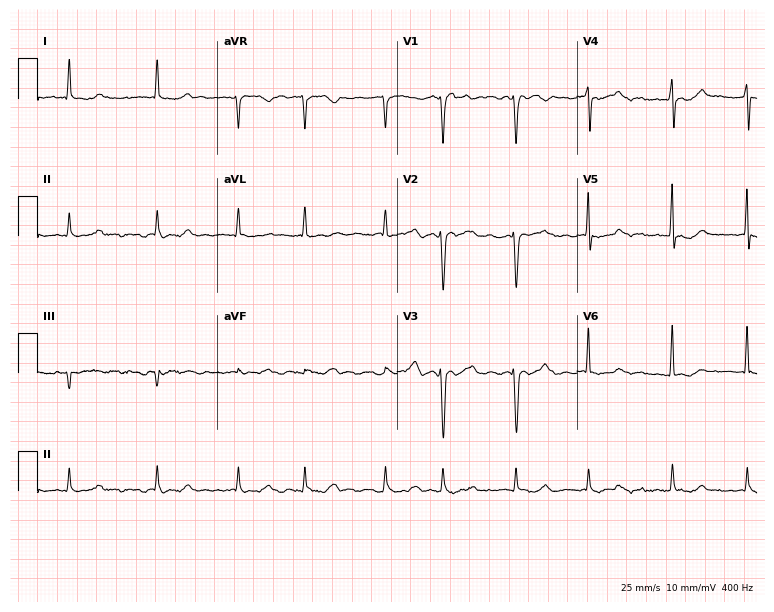
12-lead ECG from a female patient, 77 years old (7.3-second recording at 400 Hz). No first-degree AV block, right bundle branch block, left bundle branch block, sinus bradycardia, atrial fibrillation or sinus tachycardia recorded for this tracing. Findings outside these six are not listed.